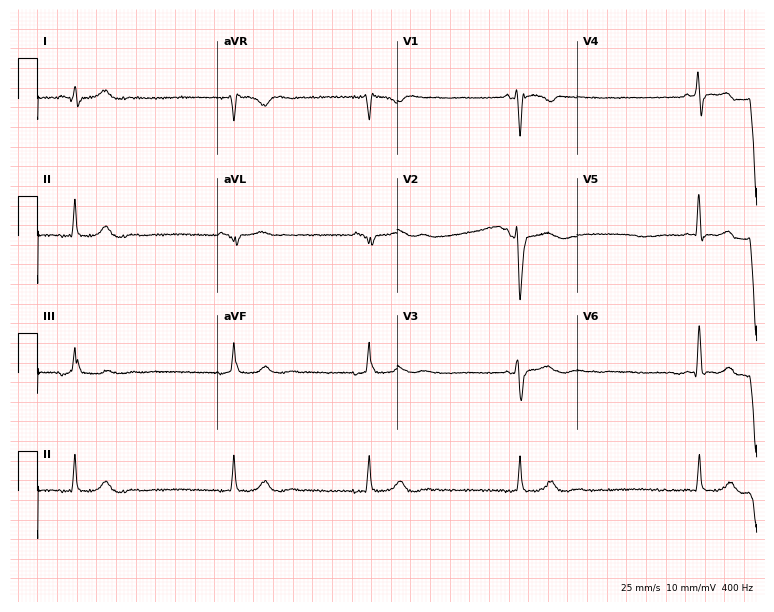
Electrocardiogram (7.3-second recording at 400 Hz), a 63-year-old woman. Interpretation includes sinus bradycardia (a sinus rate of 50 beats per minute or less).